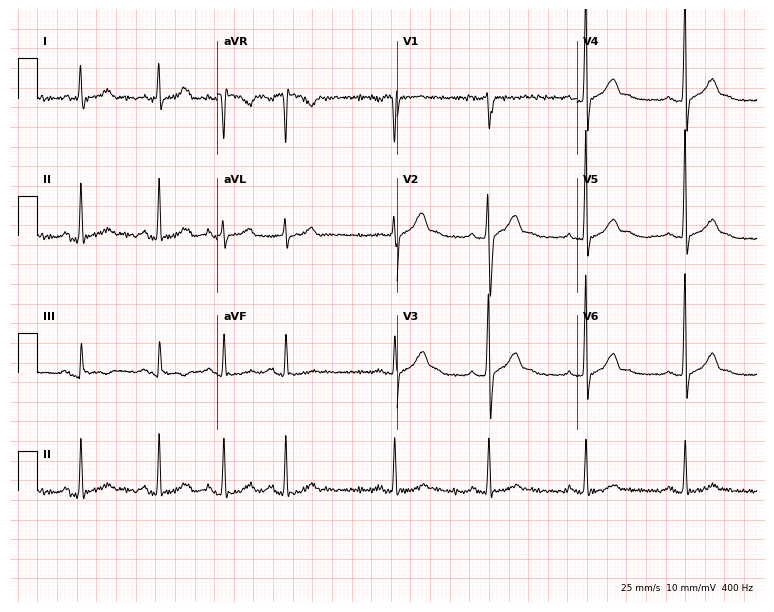
ECG — a man, 34 years old. Screened for six findings — first-degree AV block, right bundle branch block (RBBB), left bundle branch block (LBBB), sinus bradycardia, atrial fibrillation (AF), sinus tachycardia — none is recorded. Only these six findings were labelled.